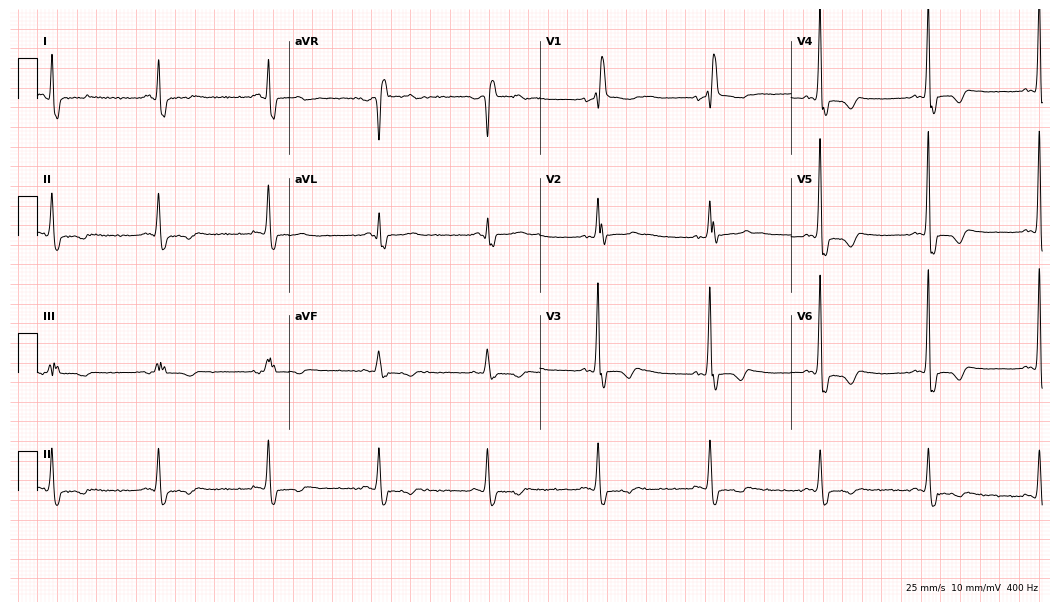
ECG — a male patient, 68 years old. Findings include right bundle branch block.